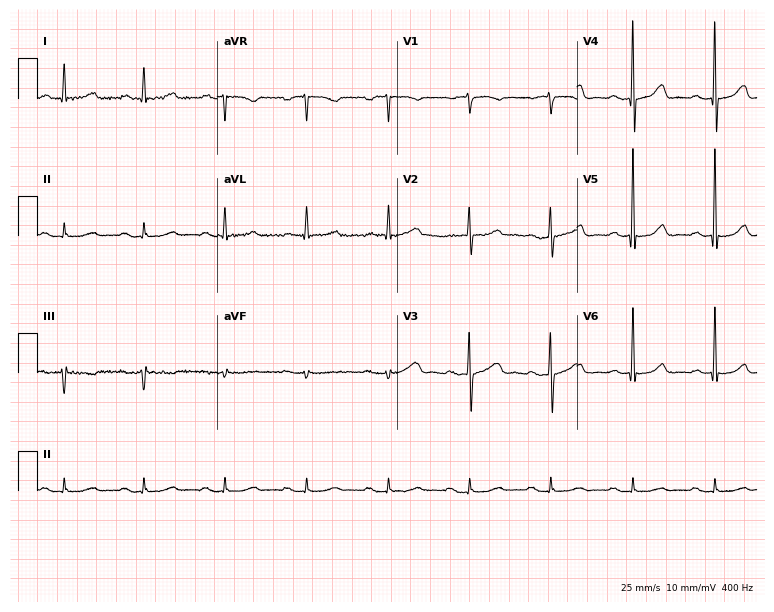
12-lead ECG from a female patient, 74 years old (7.3-second recording at 400 Hz). Shows first-degree AV block.